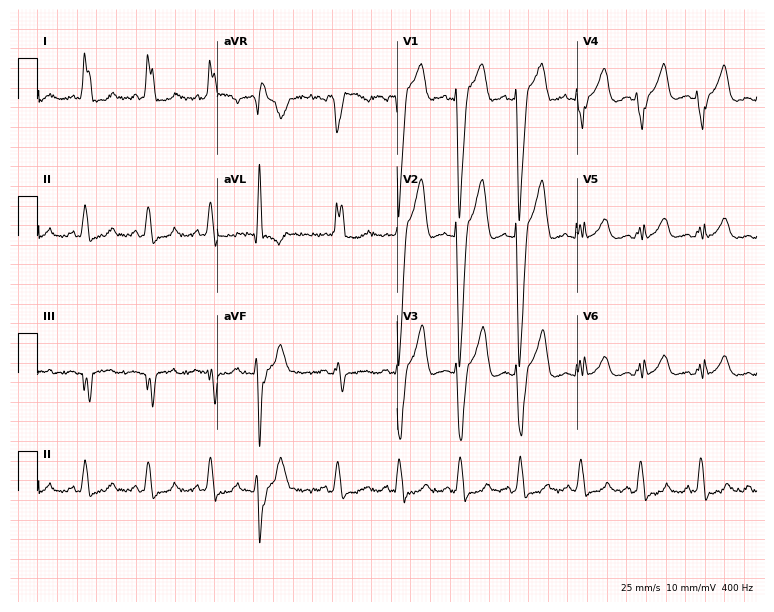
12-lead ECG from a 40-year-old female (7.3-second recording at 400 Hz). Shows left bundle branch block.